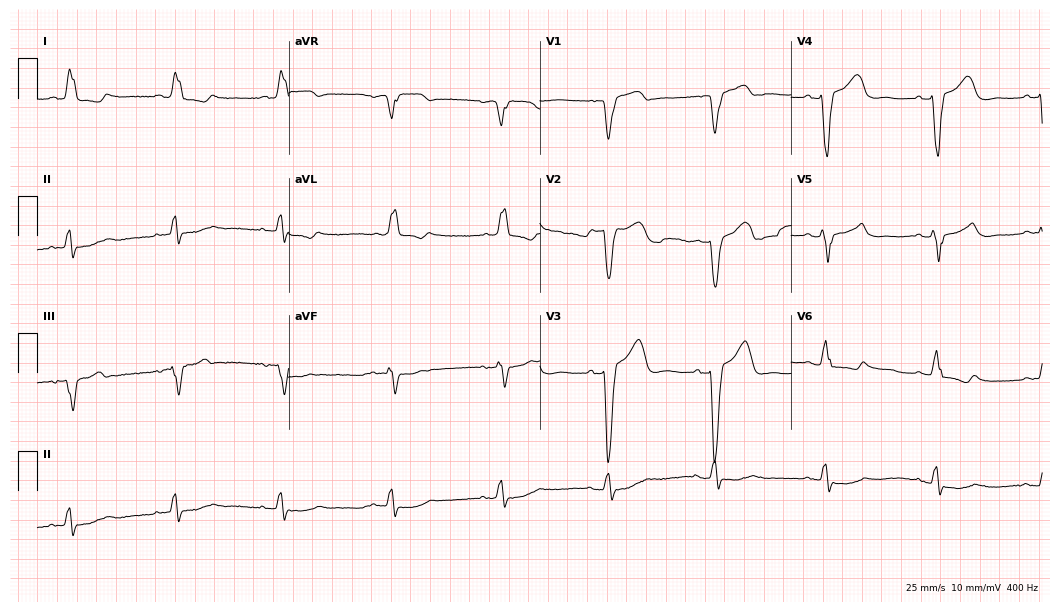
12-lead ECG from a man, 79 years old. Shows left bundle branch block (LBBB).